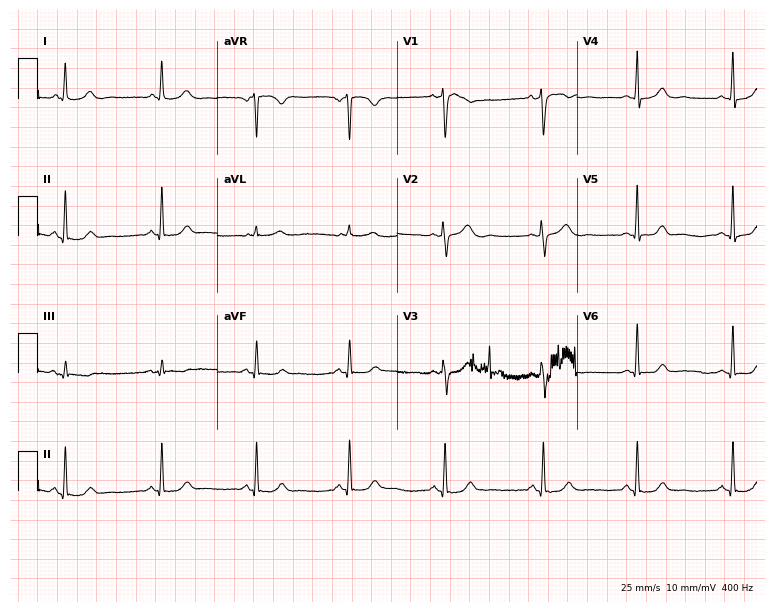
12-lead ECG (7.3-second recording at 400 Hz) from a female, 32 years old. Screened for six findings — first-degree AV block, right bundle branch block (RBBB), left bundle branch block (LBBB), sinus bradycardia, atrial fibrillation (AF), sinus tachycardia — none is recorded.